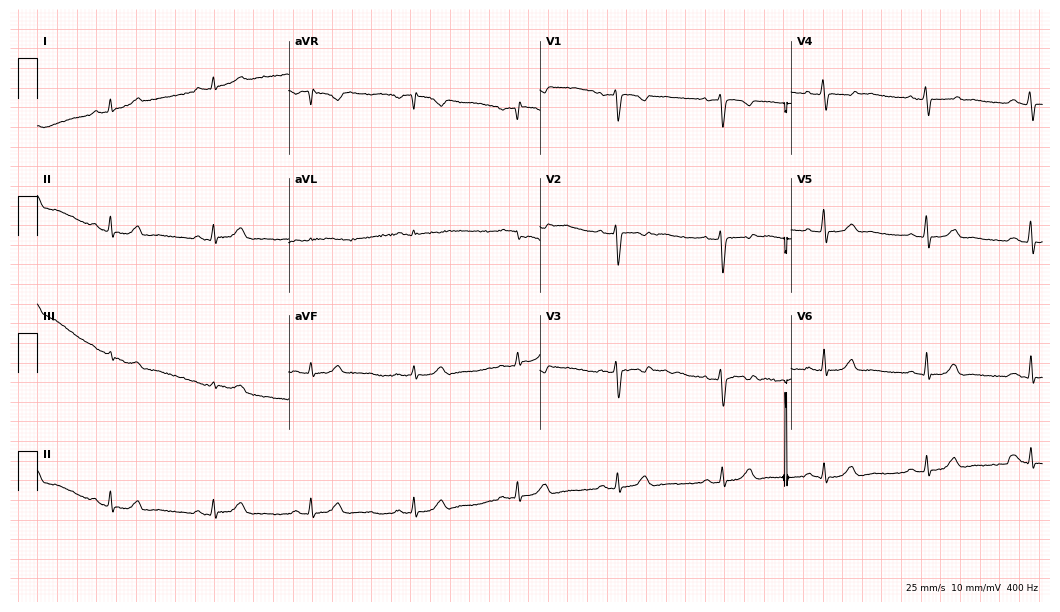
Resting 12-lead electrocardiogram (10.2-second recording at 400 Hz). Patient: a female, 28 years old. None of these six findings is recorded: first-degree AV block, right bundle branch block, left bundle branch block, sinus bradycardia, atrial fibrillation, sinus tachycardia. Other findings, if any, are not listed.